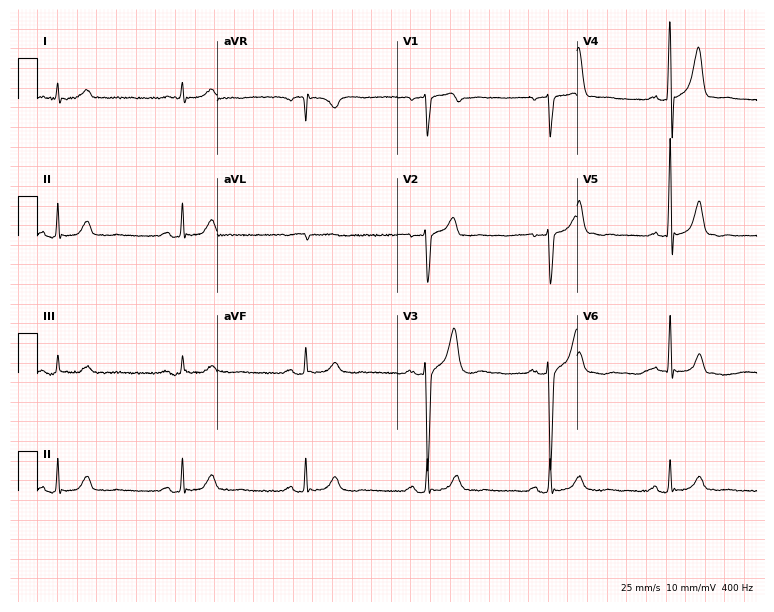
ECG (7.3-second recording at 400 Hz) — a 62-year-old male. Findings include sinus bradycardia (a sinus rate of 50 beats per minute or less).